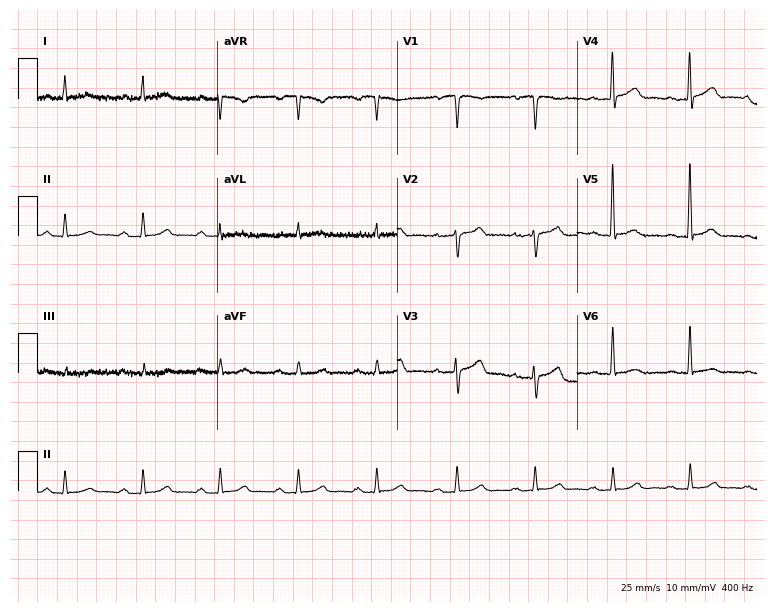
Standard 12-lead ECG recorded from a 78-year-old male. Read as a normal ECG.